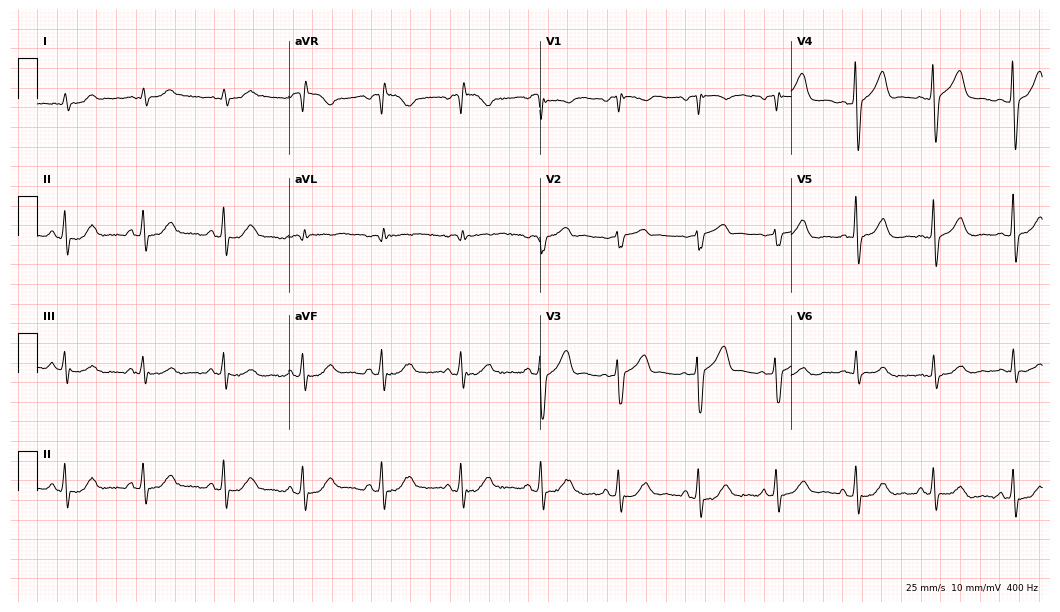
ECG (10.2-second recording at 400 Hz) — a 57-year-old male. Labelled as a normal ECG.